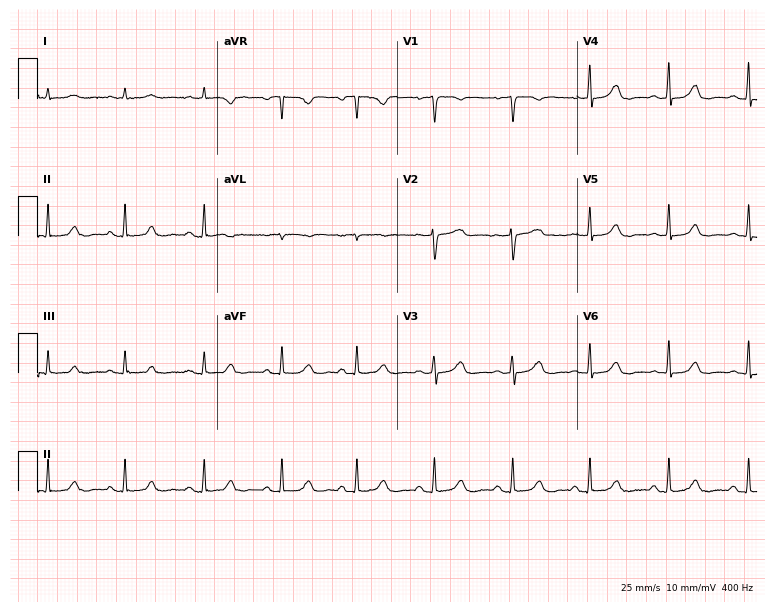
12-lead ECG from a woman, 52 years old. Recorded interpretation: within normal limits.